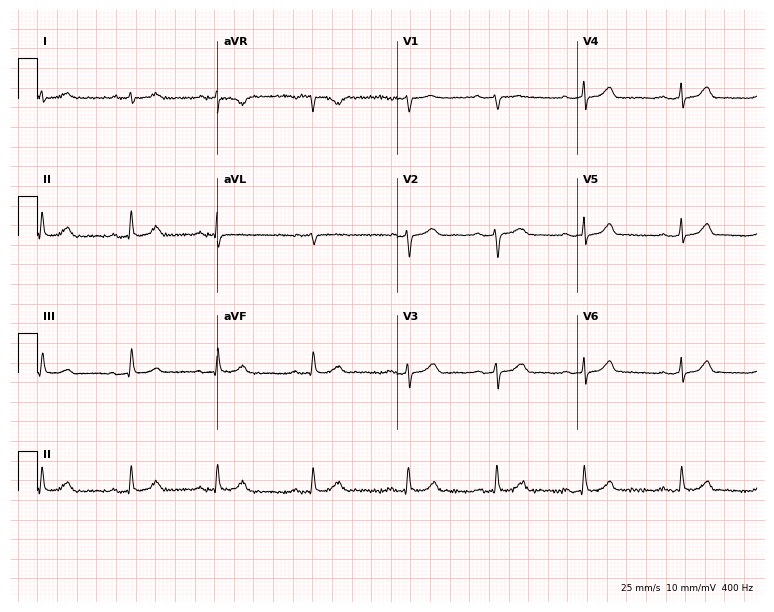
Electrocardiogram, a 37-year-old female. Overall reading on record: normal ECG.